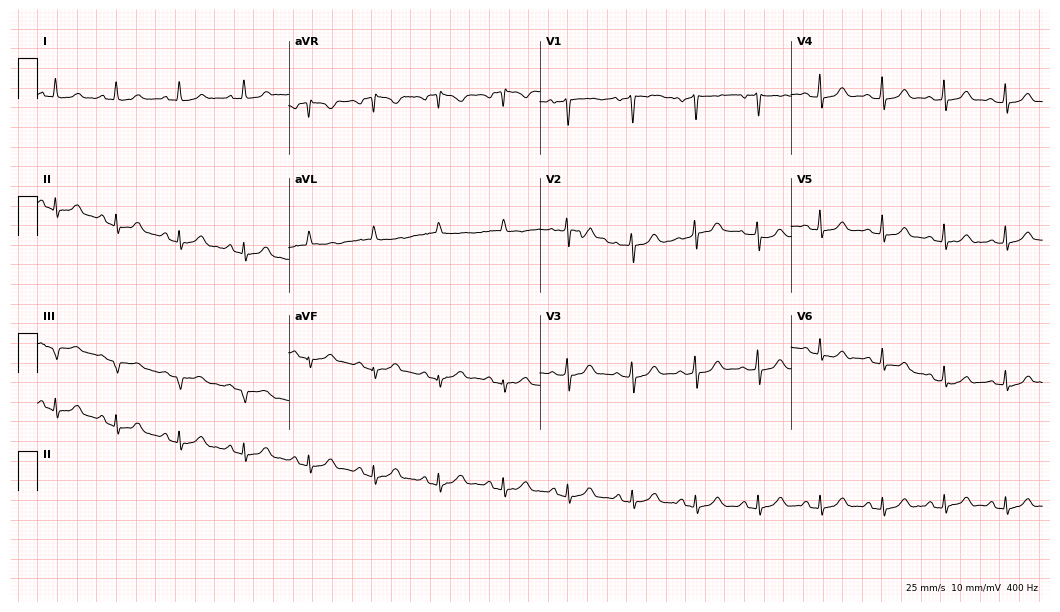
12-lead ECG from a woman, 52 years old (10.2-second recording at 400 Hz). Recorded interpretation: within normal limits.